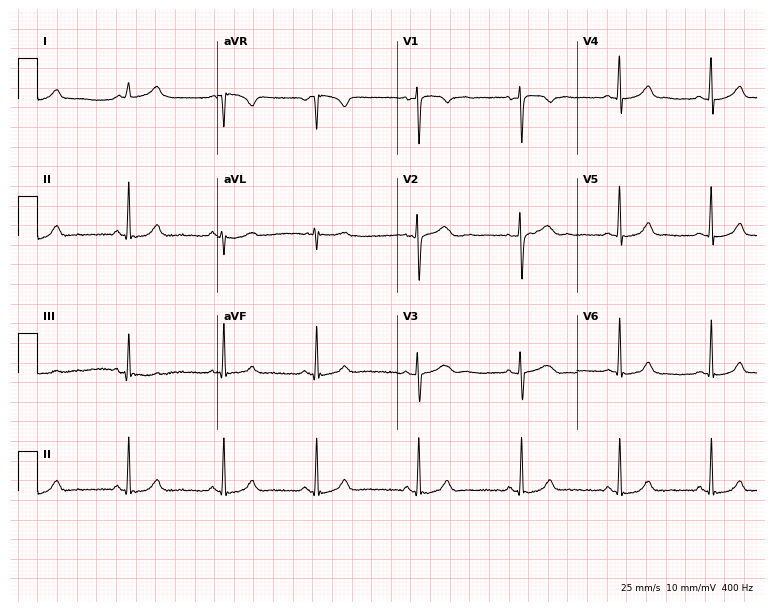
Resting 12-lead electrocardiogram (7.3-second recording at 400 Hz). Patient: a 21-year-old woman. Read as a normal ECG.